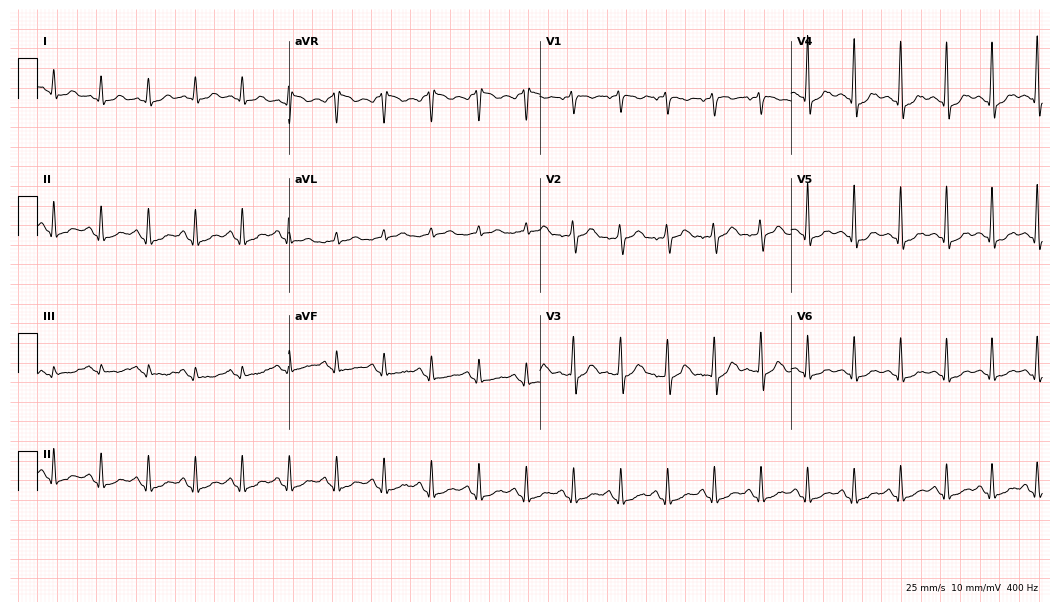
Resting 12-lead electrocardiogram. Patient: a male, 73 years old. The tracing shows sinus tachycardia (a sinus rate of 100 beats per minute or more).